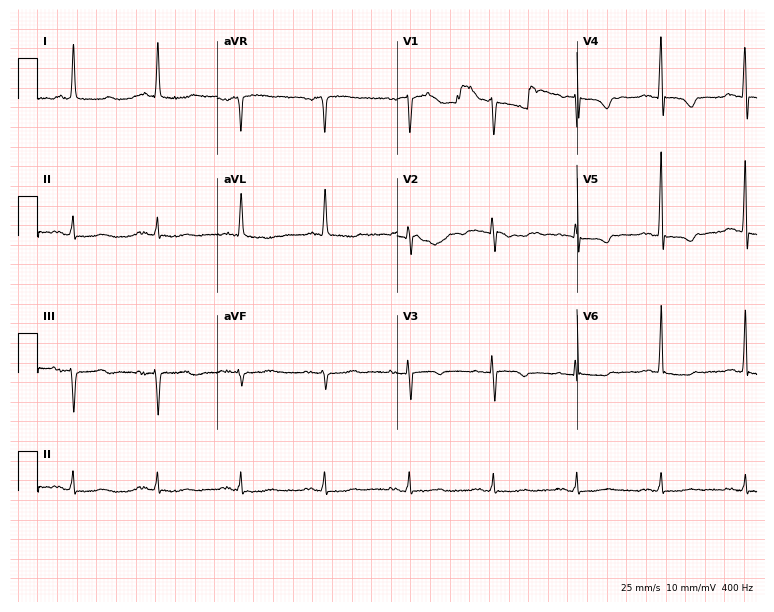
Standard 12-lead ECG recorded from a female, 76 years old. None of these six findings is recorded: first-degree AV block, right bundle branch block (RBBB), left bundle branch block (LBBB), sinus bradycardia, atrial fibrillation (AF), sinus tachycardia. Findings outside these six are not listed.